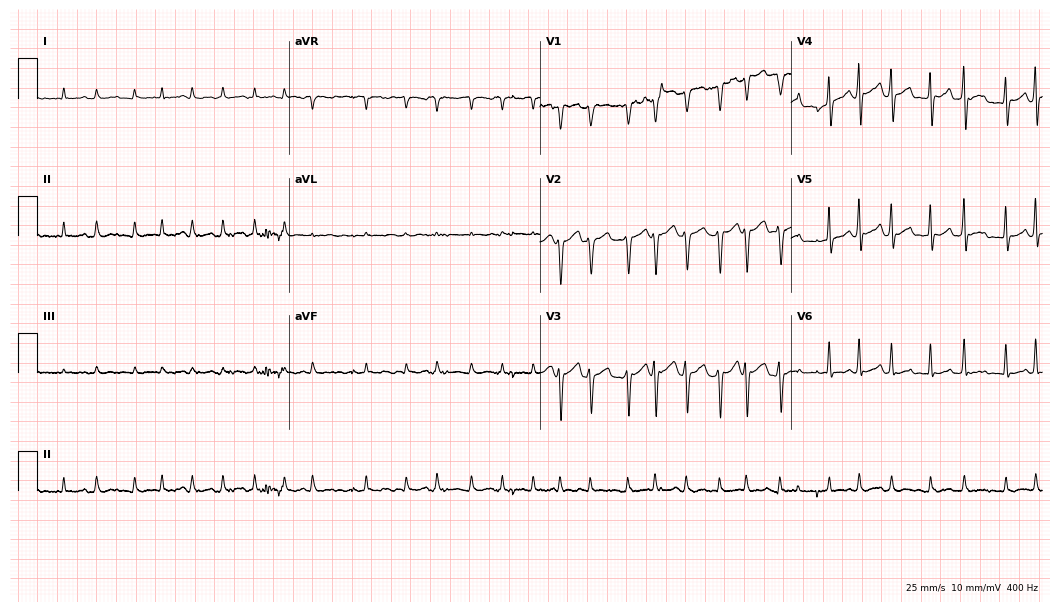
Electrocardiogram (10.2-second recording at 400 Hz), a 71-year-old male patient. Interpretation includes atrial fibrillation, sinus tachycardia (a sinus rate of 100 beats per minute or more).